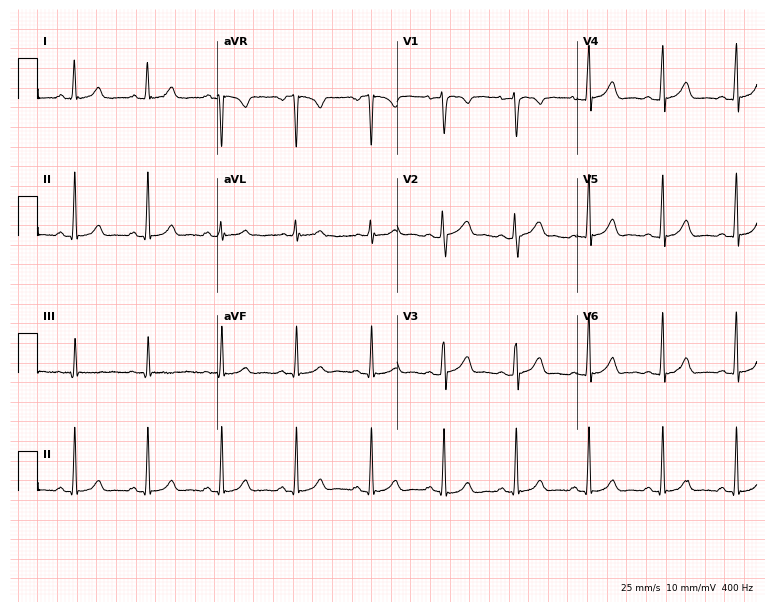
Resting 12-lead electrocardiogram. Patient: a 26-year-old female. None of these six findings is recorded: first-degree AV block, right bundle branch block, left bundle branch block, sinus bradycardia, atrial fibrillation, sinus tachycardia. Other findings, if any, are not listed.